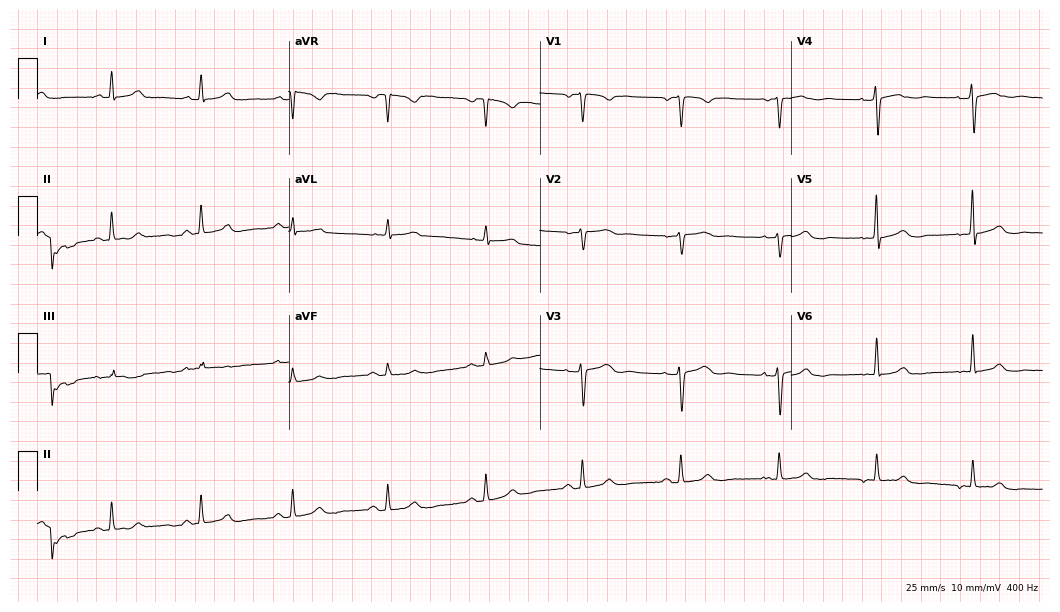
12-lead ECG from a 47-year-old female patient (10.2-second recording at 400 Hz). No first-degree AV block, right bundle branch block (RBBB), left bundle branch block (LBBB), sinus bradycardia, atrial fibrillation (AF) or sinus tachycardia recorded for this tracing. Other findings, if any, are not listed.